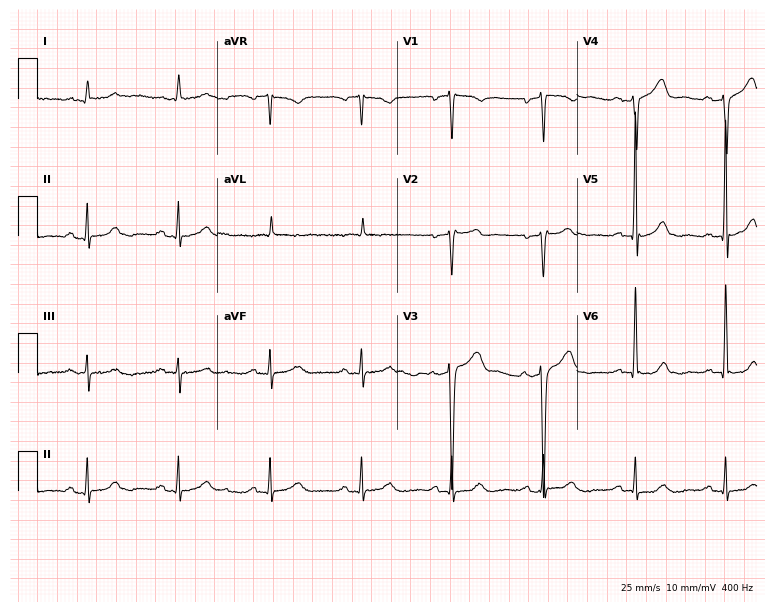
ECG — a man, 74 years old. Screened for six findings — first-degree AV block, right bundle branch block (RBBB), left bundle branch block (LBBB), sinus bradycardia, atrial fibrillation (AF), sinus tachycardia — none is recorded.